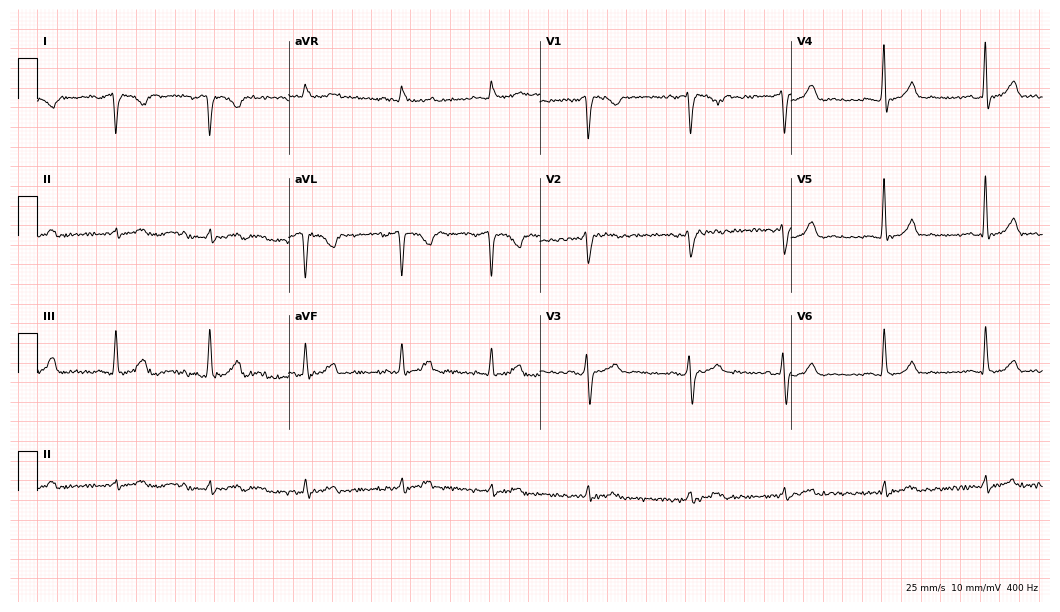
ECG — a 27-year-old woman. Screened for six findings — first-degree AV block, right bundle branch block, left bundle branch block, sinus bradycardia, atrial fibrillation, sinus tachycardia — none is recorded. Only these six findings were labelled.